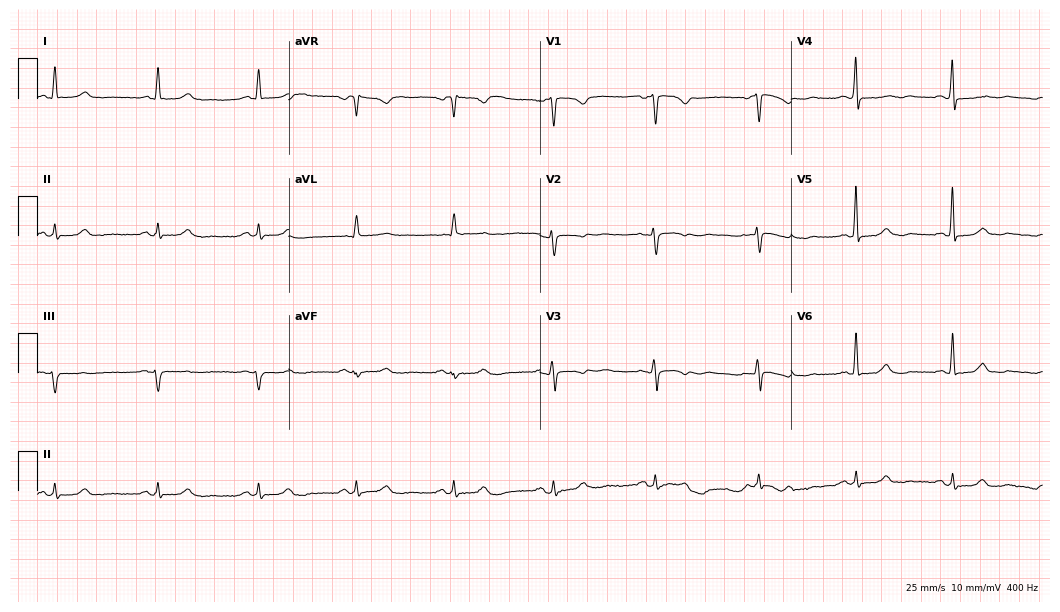
Electrocardiogram, a female, 42 years old. Of the six screened findings (first-degree AV block, right bundle branch block, left bundle branch block, sinus bradycardia, atrial fibrillation, sinus tachycardia), none is recorded. Findings outside these six are not listed.